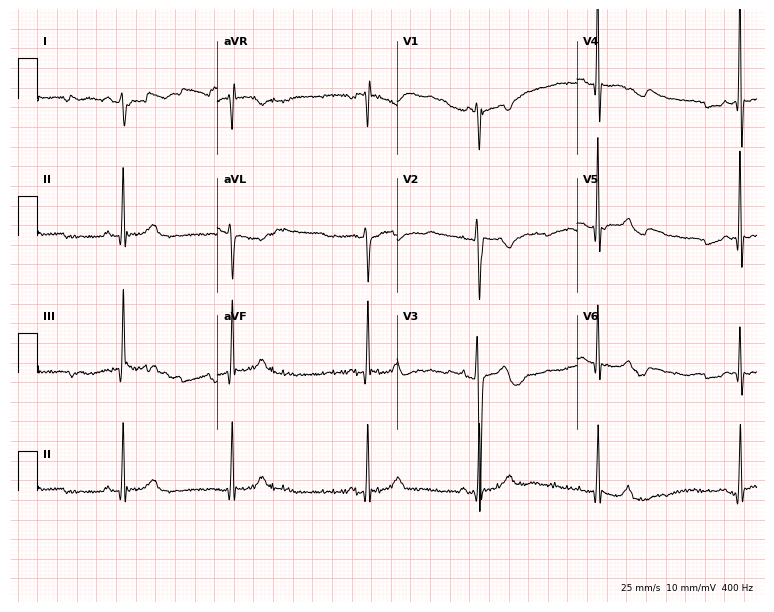
ECG (7.3-second recording at 400 Hz) — a male, 20 years old. Screened for six findings — first-degree AV block, right bundle branch block, left bundle branch block, sinus bradycardia, atrial fibrillation, sinus tachycardia — none is recorded.